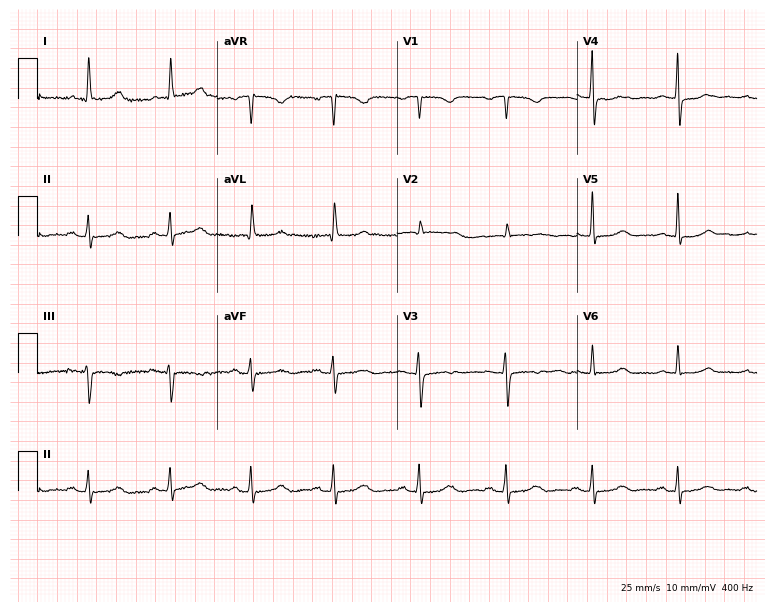
ECG — a woman, 60 years old. Screened for six findings — first-degree AV block, right bundle branch block, left bundle branch block, sinus bradycardia, atrial fibrillation, sinus tachycardia — none is recorded. Findings outside these six are not listed.